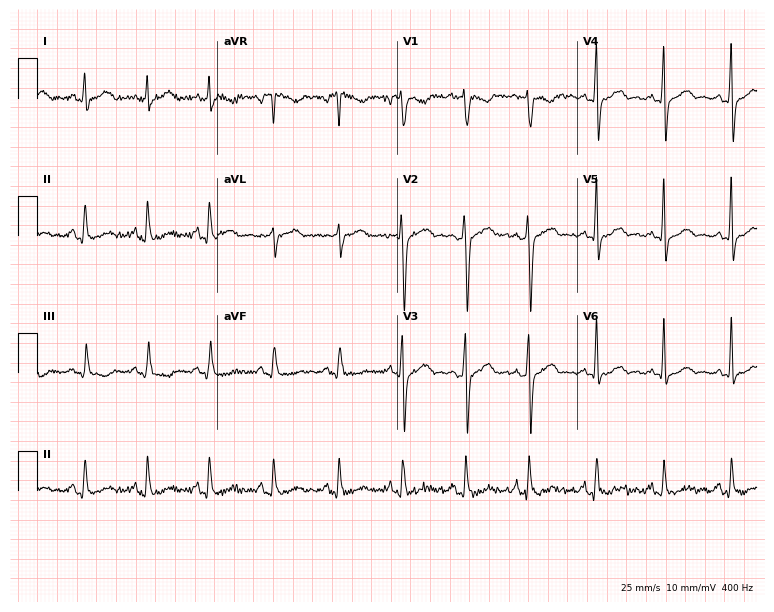
12-lead ECG from a 31-year-old man. No first-degree AV block, right bundle branch block (RBBB), left bundle branch block (LBBB), sinus bradycardia, atrial fibrillation (AF) or sinus tachycardia recorded for this tracing.